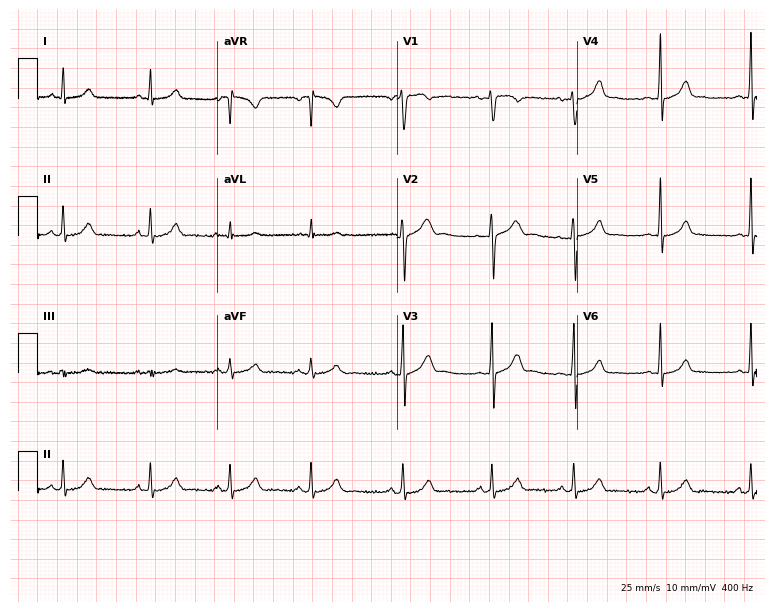
Electrocardiogram (7.3-second recording at 400 Hz), a 22-year-old woman. Overall reading on record: normal ECG.